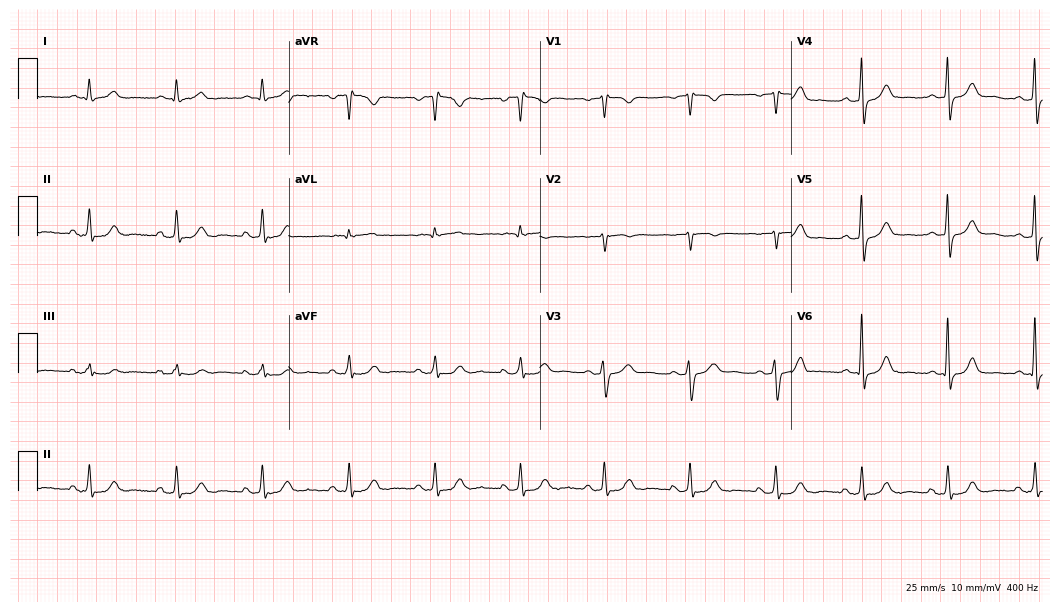
Resting 12-lead electrocardiogram. Patient: a 65-year-old man. None of these six findings is recorded: first-degree AV block, right bundle branch block, left bundle branch block, sinus bradycardia, atrial fibrillation, sinus tachycardia.